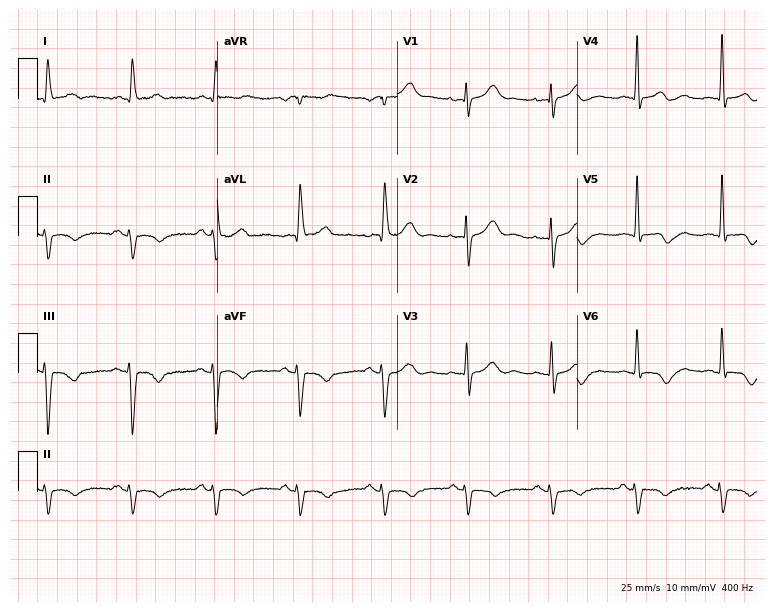
Standard 12-lead ECG recorded from a female patient, 83 years old (7.3-second recording at 400 Hz). None of these six findings is recorded: first-degree AV block, right bundle branch block, left bundle branch block, sinus bradycardia, atrial fibrillation, sinus tachycardia.